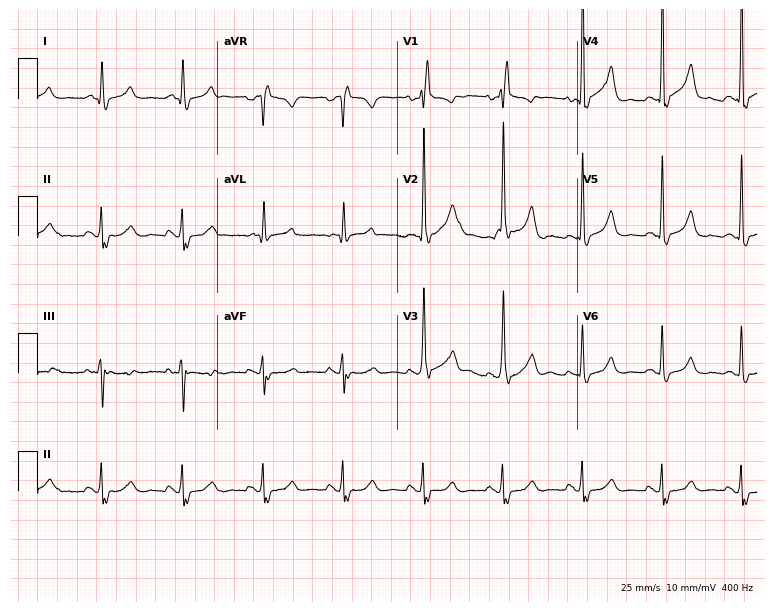
Standard 12-lead ECG recorded from a 61-year-old male. The tracing shows right bundle branch block.